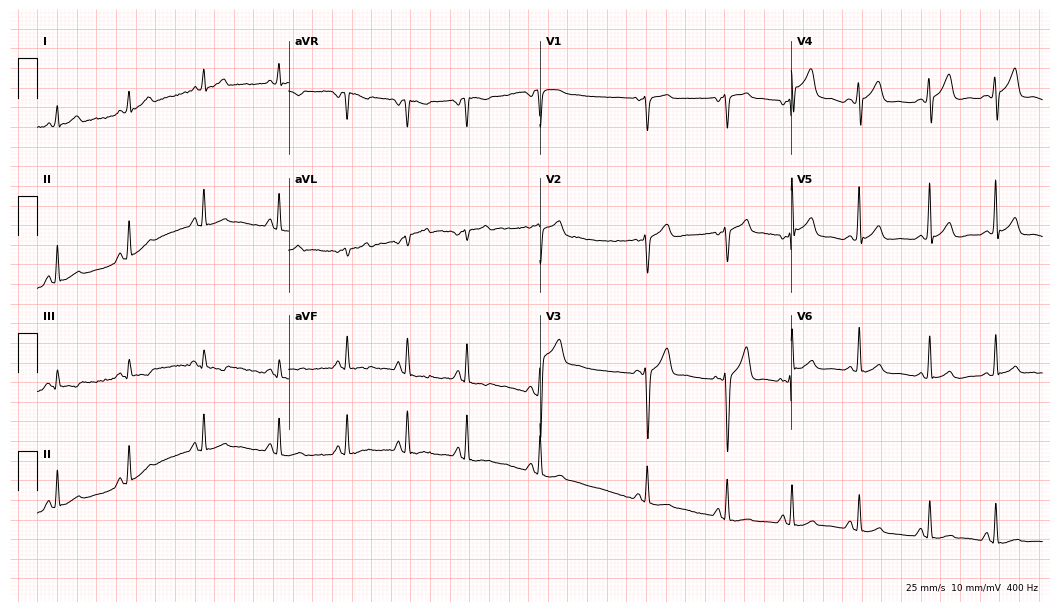
Standard 12-lead ECG recorded from a 28-year-old male patient (10.2-second recording at 400 Hz). Read as a normal ECG.